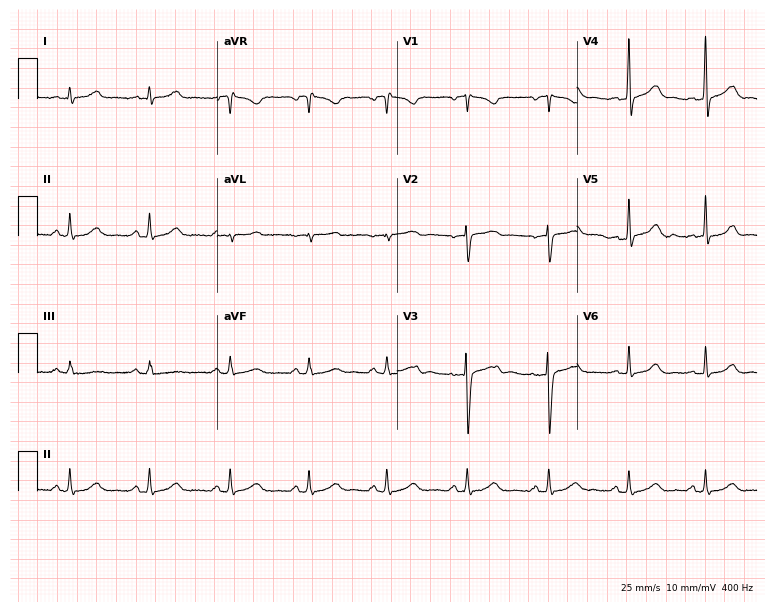
Standard 12-lead ECG recorded from a woman, 42 years old. Read as a normal ECG.